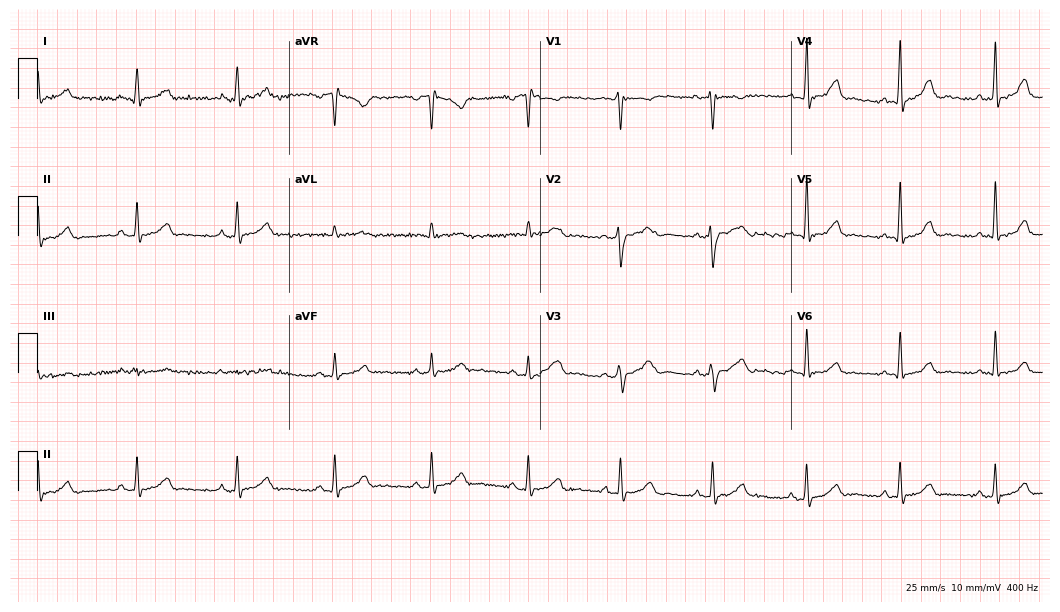
12-lead ECG (10.2-second recording at 400 Hz) from a female, 37 years old. Labelled as a normal ECG.